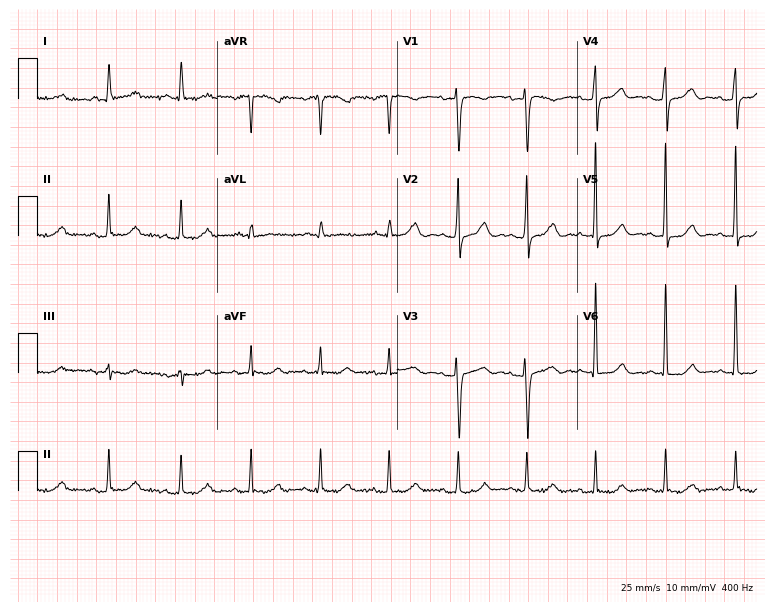
Electrocardiogram (7.3-second recording at 400 Hz), an 87-year-old female. Overall reading on record: normal ECG.